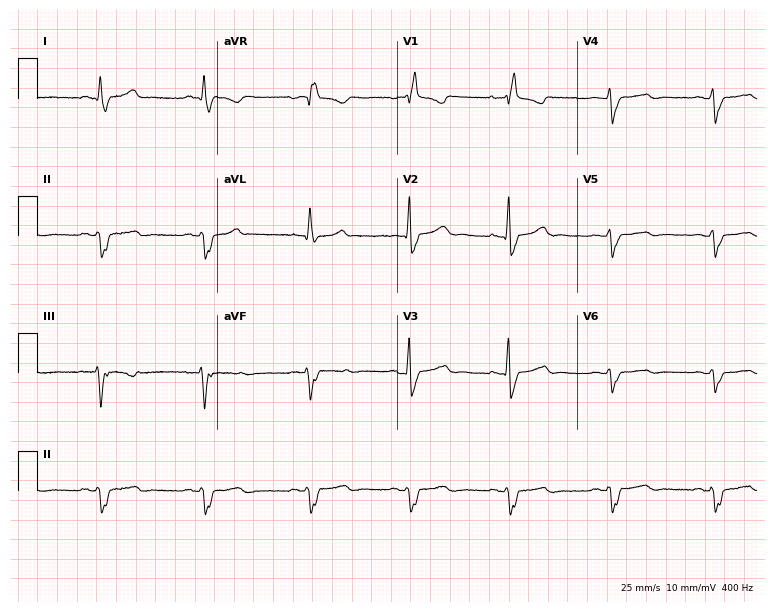
ECG (7.3-second recording at 400 Hz) — a 43-year-old woman. Findings include right bundle branch block (RBBB).